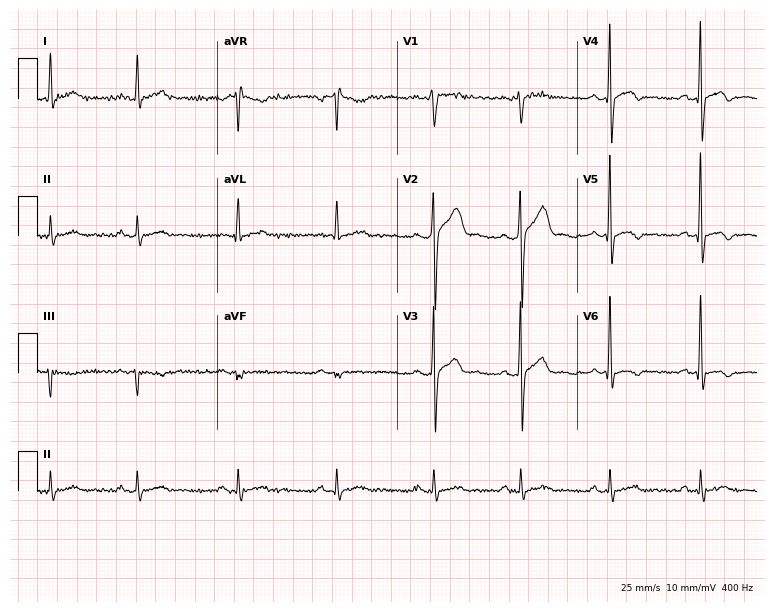
ECG (7.3-second recording at 400 Hz) — a 33-year-old male patient. Screened for six findings — first-degree AV block, right bundle branch block, left bundle branch block, sinus bradycardia, atrial fibrillation, sinus tachycardia — none is recorded. Findings outside these six are not listed.